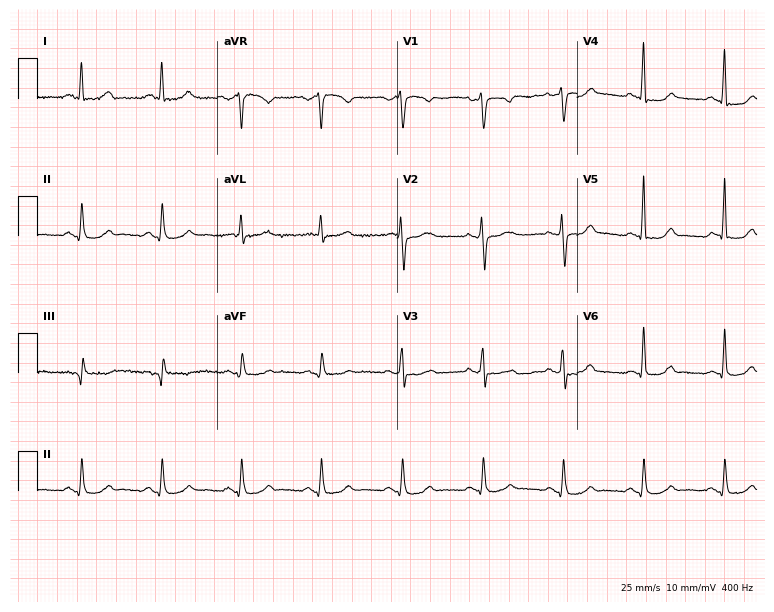
Electrocardiogram (7.3-second recording at 400 Hz), a female patient, 54 years old. Of the six screened findings (first-degree AV block, right bundle branch block, left bundle branch block, sinus bradycardia, atrial fibrillation, sinus tachycardia), none is recorded.